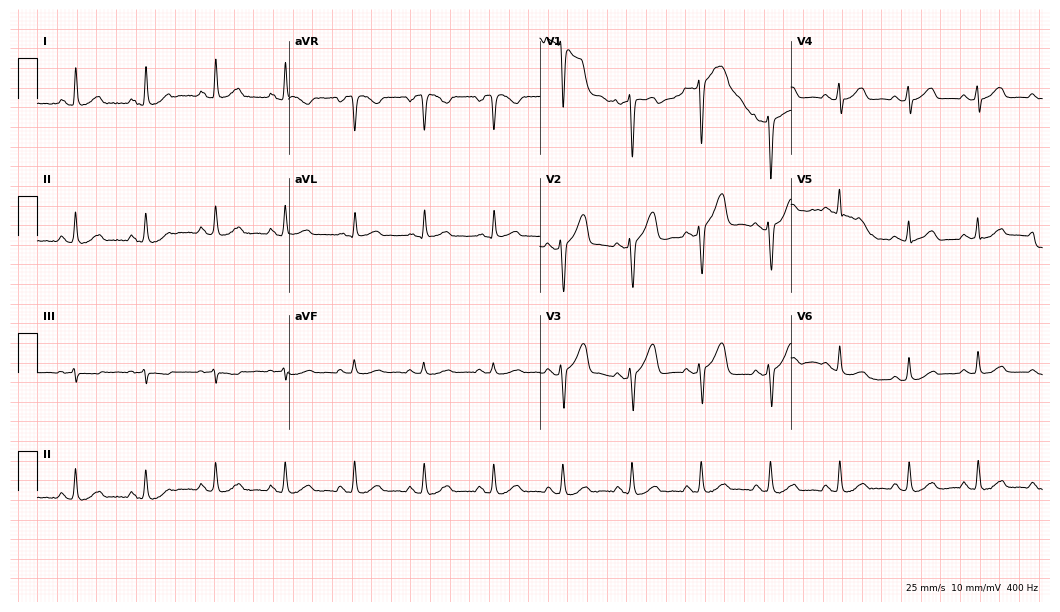
12-lead ECG from a 62-year-old female patient. Screened for six findings — first-degree AV block, right bundle branch block, left bundle branch block, sinus bradycardia, atrial fibrillation, sinus tachycardia — none is recorded.